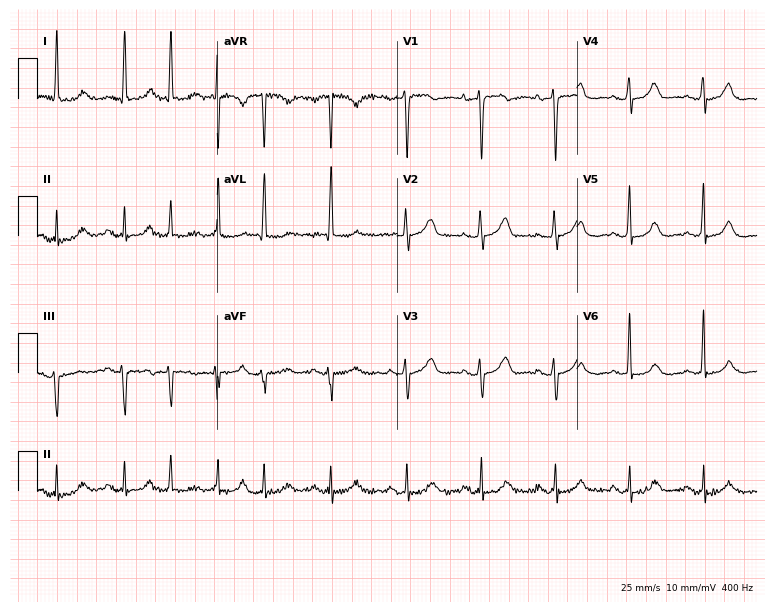
12-lead ECG (7.3-second recording at 400 Hz) from a female, 78 years old. Screened for six findings — first-degree AV block, right bundle branch block, left bundle branch block, sinus bradycardia, atrial fibrillation, sinus tachycardia — none is recorded.